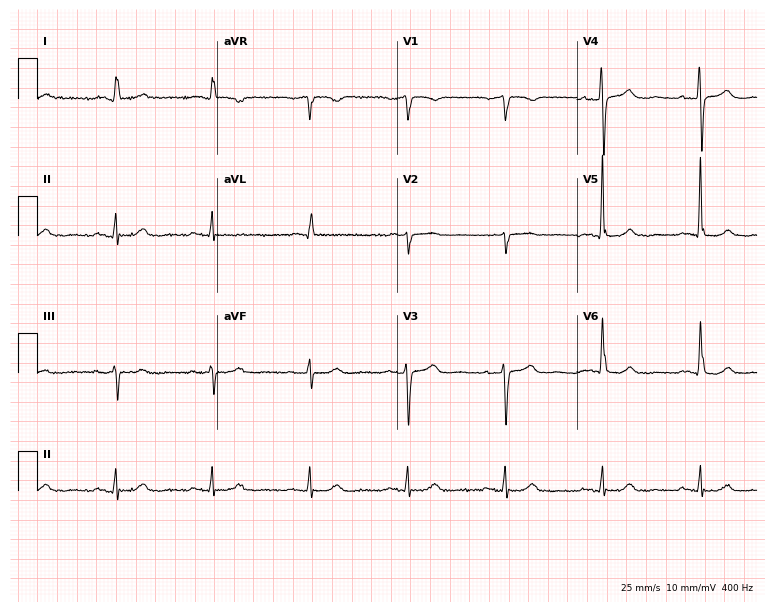
Electrocardiogram, a woman, 81 years old. Of the six screened findings (first-degree AV block, right bundle branch block, left bundle branch block, sinus bradycardia, atrial fibrillation, sinus tachycardia), none is recorded. Findings outside these six are not listed.